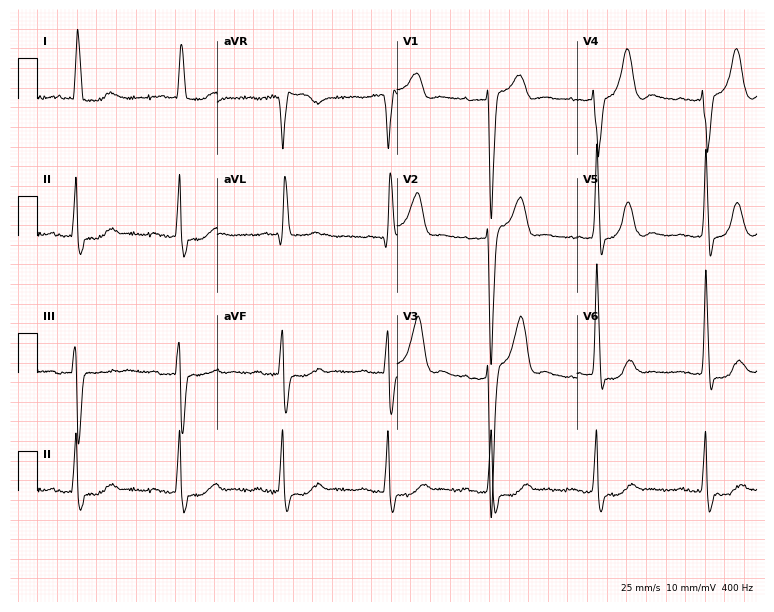
12-lead ECG (7.3-second recording at 400 Hz) from an 82-year-old woman. Screened for six findings — first-degree AV block, right bundle branch block, left bundle branch block, sinus bradycardia, atrial fibrillation, sinus tachycardia — none is recorded.